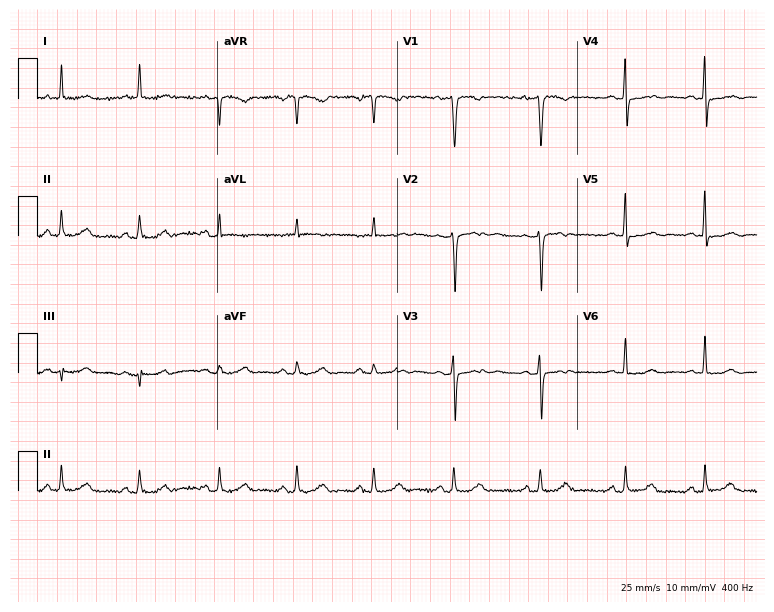
12-lead ECG from a 68-year-old female (7.3-second recording at 400 Hz). No first-degree AV block, right bundle branch block (RBBB), left bundle branch block (LBBB), sinus bradycardia, atrial fibrillation (AF) or sinus tachycardia recorded for this tracing. Only these six findings were labelled.